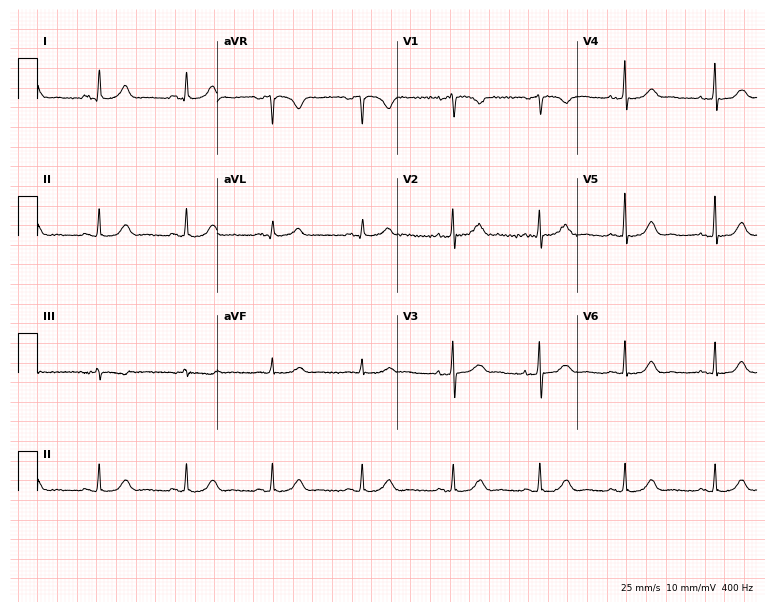
Resting 12-lead electrocardiogram. Patient: a woman, 61 years old. Read as a normal ECG.